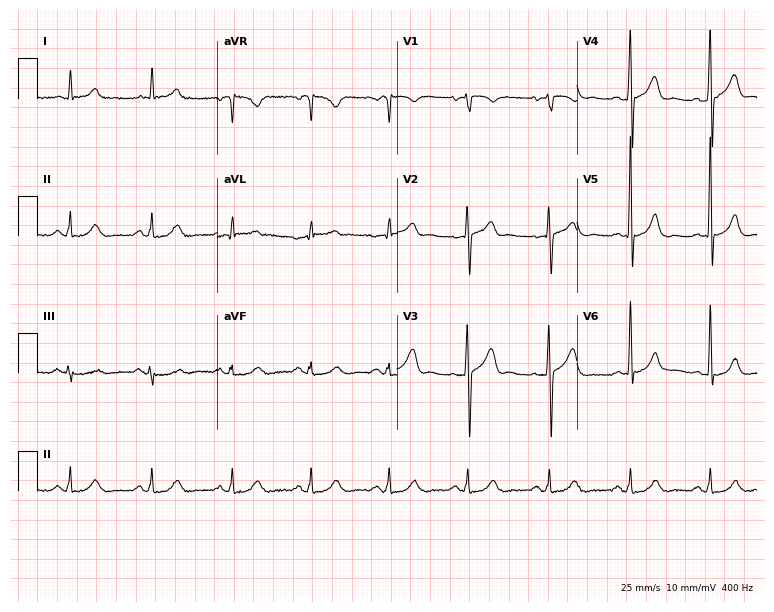
Electrocardiogram (7.3-second recording at 400 Hz), a man, 60 years old. Of the six screened findings (first-degree AV block, right bundle branch block, left bundle branch block, sinus bradycardia, atrial fibrillation, sinus tachycardia), none is recorded. Only these six findings were labelled.